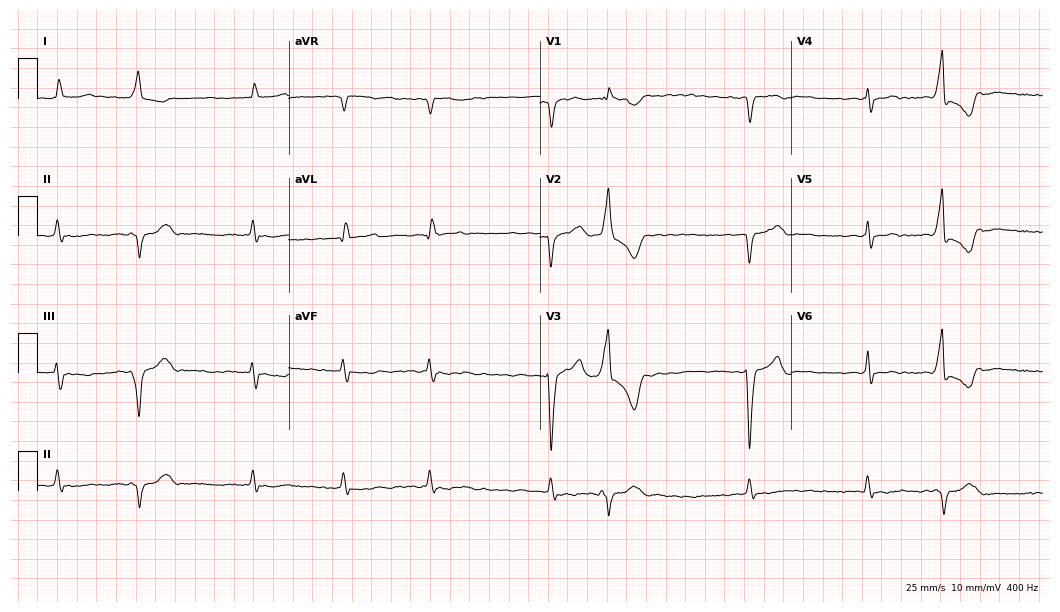
ECG (10.2-second recording at 400 Hz) — an 85-year-old man. Findings include atrial fibrillation (AF).